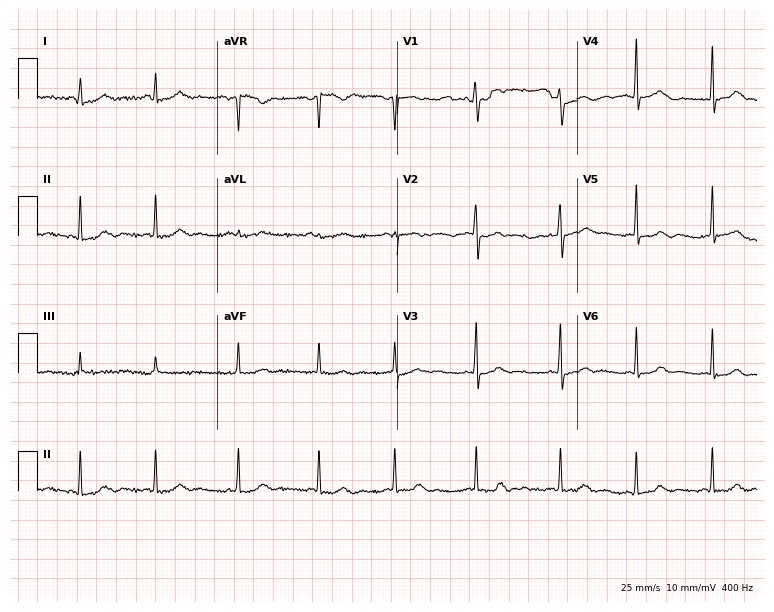
Resting 12-lead electrocardiogram (7.3-second recording at 400 Hz). Patient: a 17-year-old woman. None of these six findings is recorded: first-degree AV block, right bundle branch block (RBBB), left bundle branch block (LBBB), sinus bradycardia, atrial fibrillation (AF), sinus tachycardia. Only these six findings were labelled.